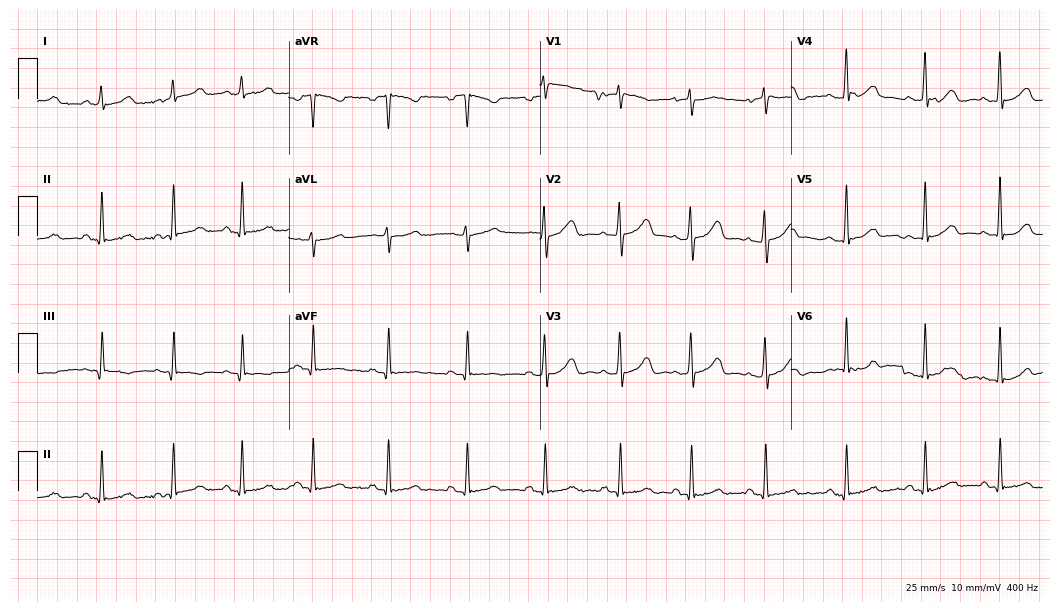
12-lead ECG from an 18-year-old woman. Recorded interpretation: within normal limits.